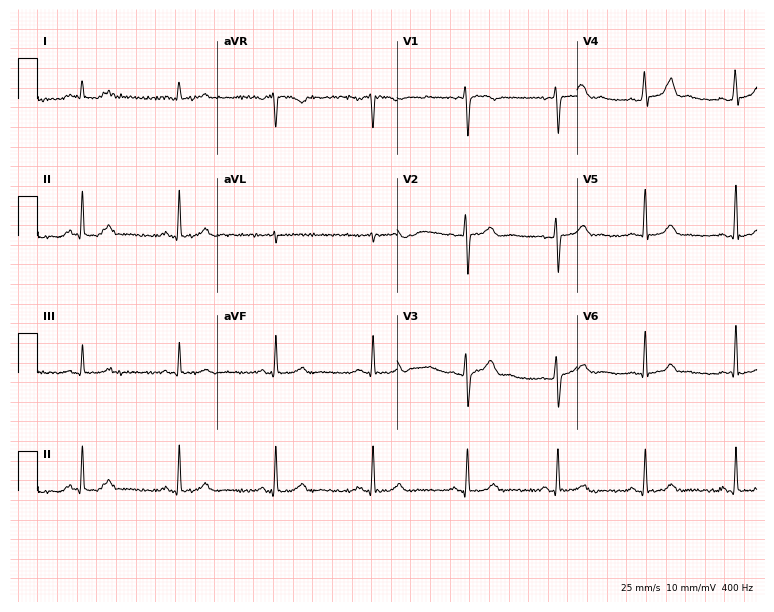
12-lead ECG from a male, 30 years old. No first-degree AV block, right bundle branch block, left bundle branch block, sinus bradycardia, atrial fibrillation or sinus tachycardia recorded for this tracing. Only these six findings were labelled.